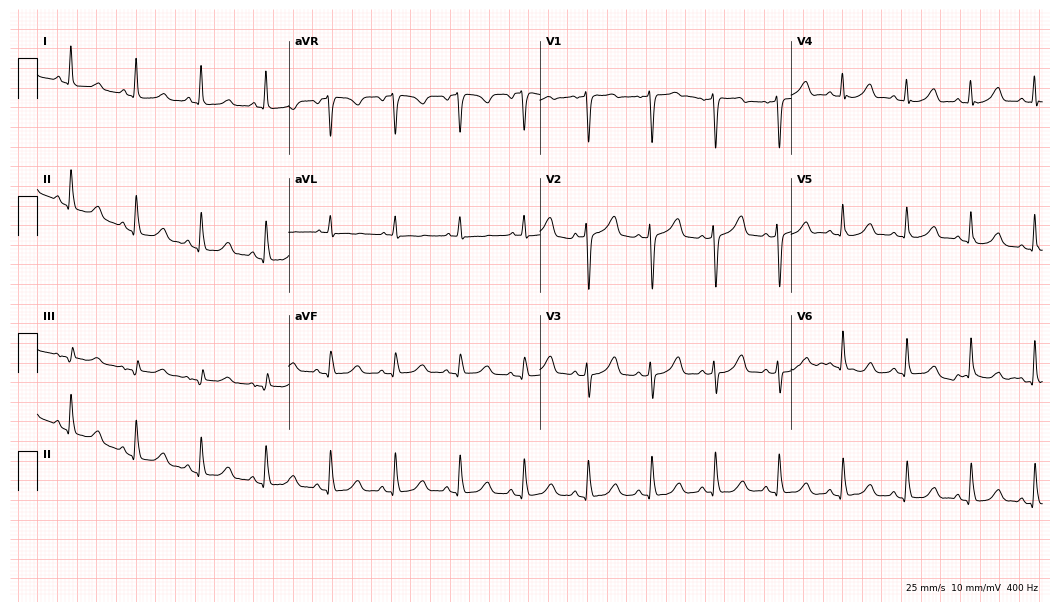
12-lead ECG from a woman, 76 years old. Labelled as a normal ECG.